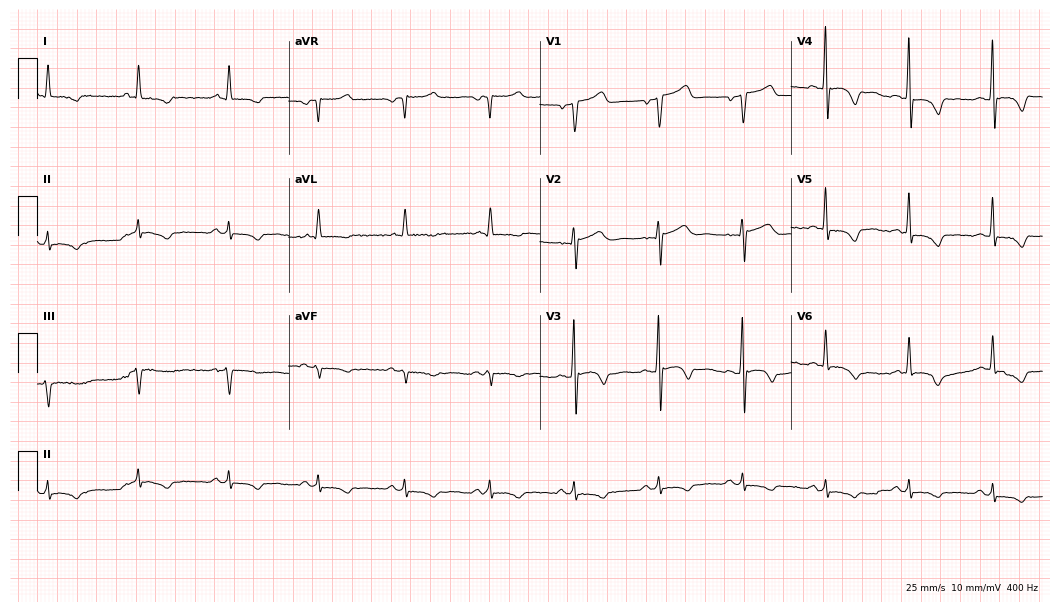
Standard 12-lead ECG recorded from a 44-year-old man. Read as a normal ECG.